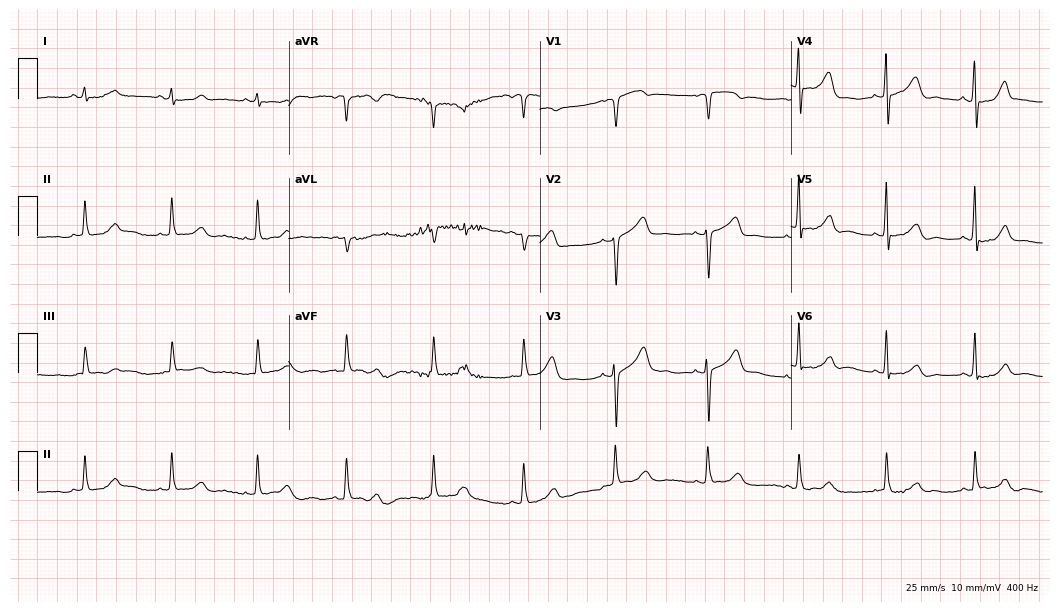
ECG — a female, 76 years old. Screened for six findings — first-degree AV block, right bundle branch block, left bundle branch block, sinus bradycardia, atrial fibrillation, sinus tachycardia — none is recorded. Findings outside these six are not listed.